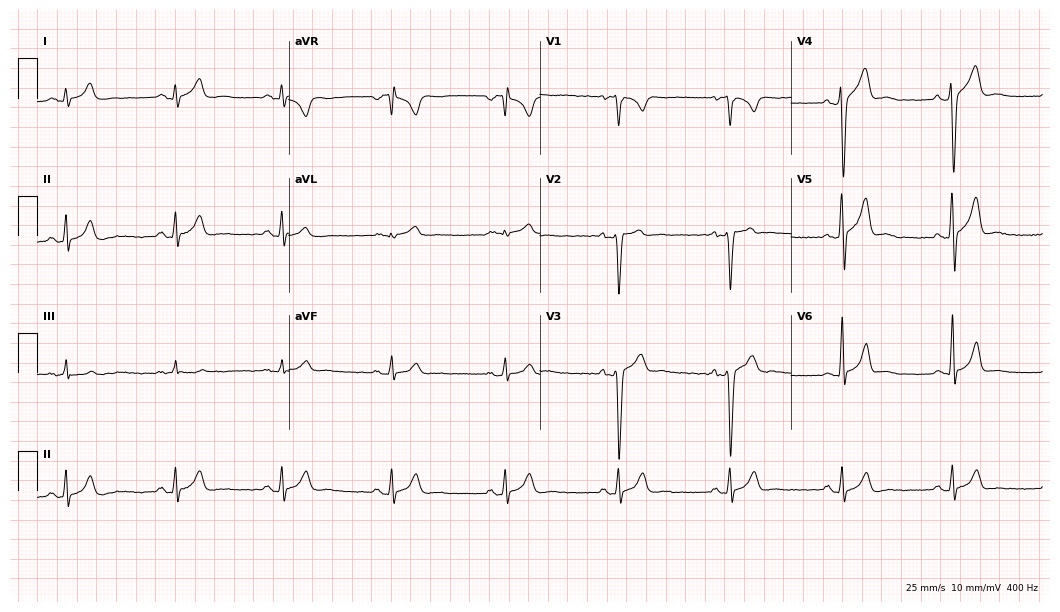
12-lead ECG (10.2-second recording at 400 Hz) from a male, 30 years old. Screened for six findings — first-degree AV block, right bundle branch block, left bundle branch block, sinus bradycardia, atrial fibrillation, sinus tachycardia — none is recorded.